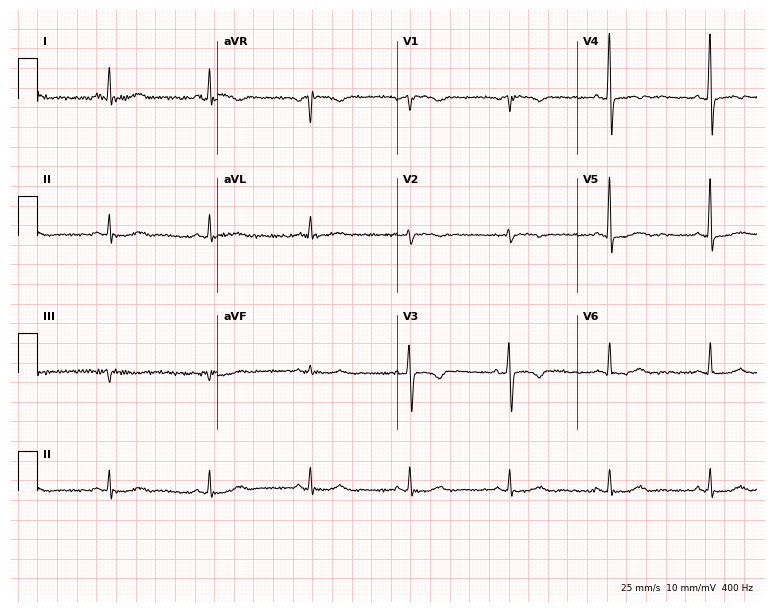
12-lead ECG from a 75-year-old female patient. No first-degree AV block, right bundle branch block, left bundle branch block, sinus bradycardia, atrial fibrillation or sinus tachycardia recorded for this tracing. Other findings, if any, are not listed.